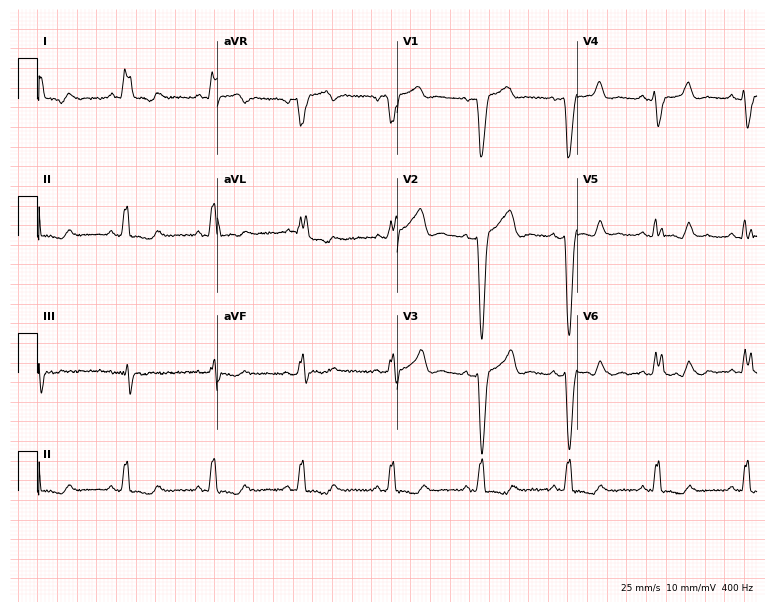
ECG (7.3-second recording at 400 Hz) — a woman, 59 years old. Findings include left bundle branch block (LBBB).